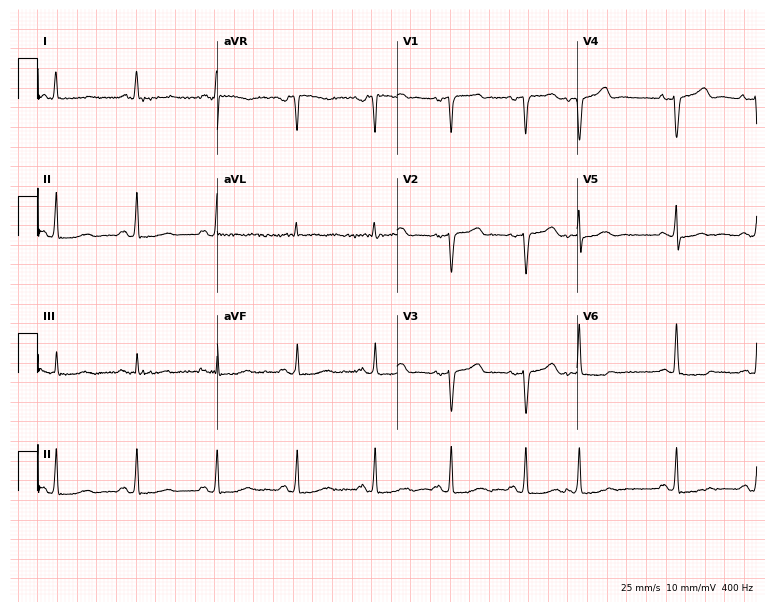
ECG (7.3-second recording at 400 Hz) — a female patient, 67 years old. Screened for six findings — first-degree AV block, right bundle branch block (RBBB), left bundle branch block (LBBB), sinus bradycardia, atrial fibrillation (AF), sinus tachycardia — none is recorded. Only these six findings were labelled.